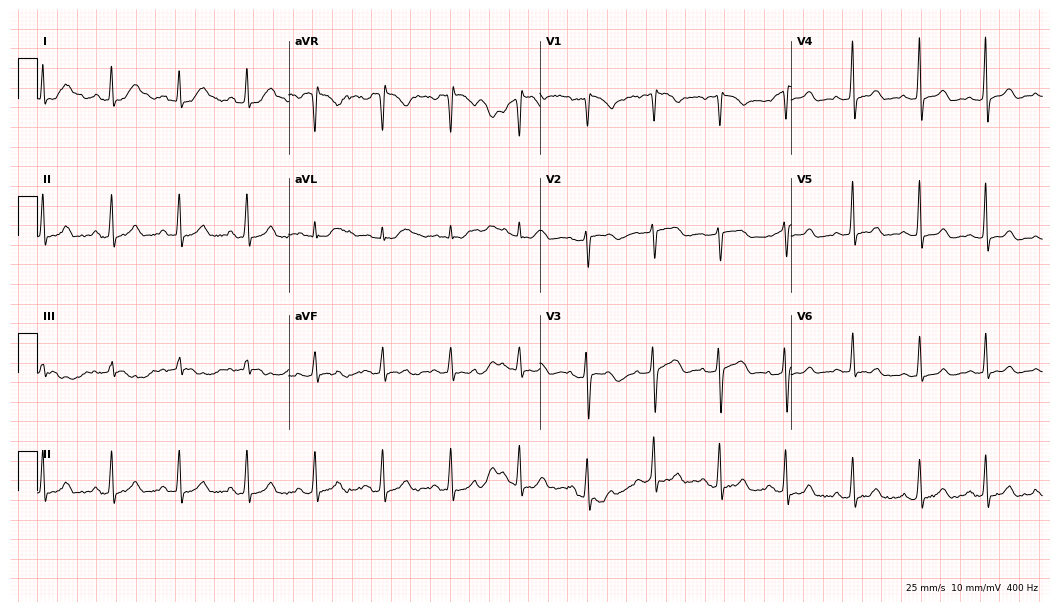
12-lead ECG (10.2-second recording at 400 Hz) from a female, 46 years old. Labelled as a normal ECG.